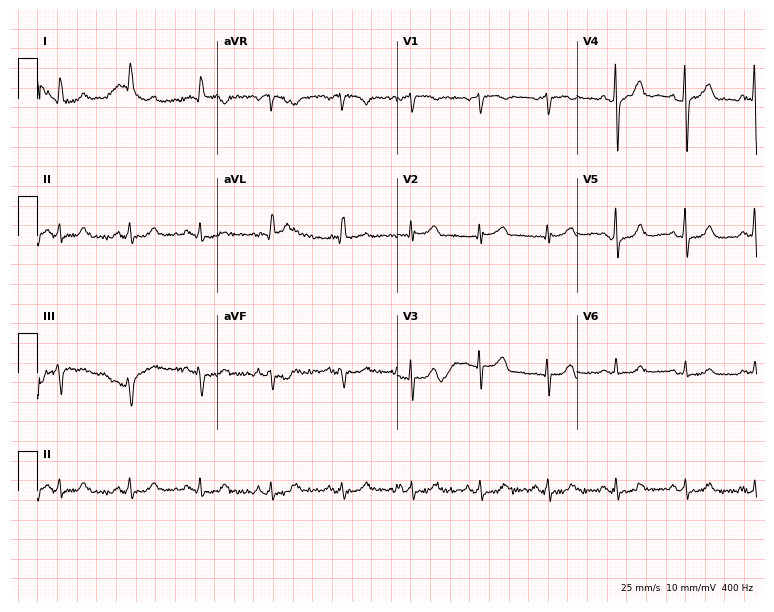
ECG — a 77-year-old woman. Labelled as a normal ECG.